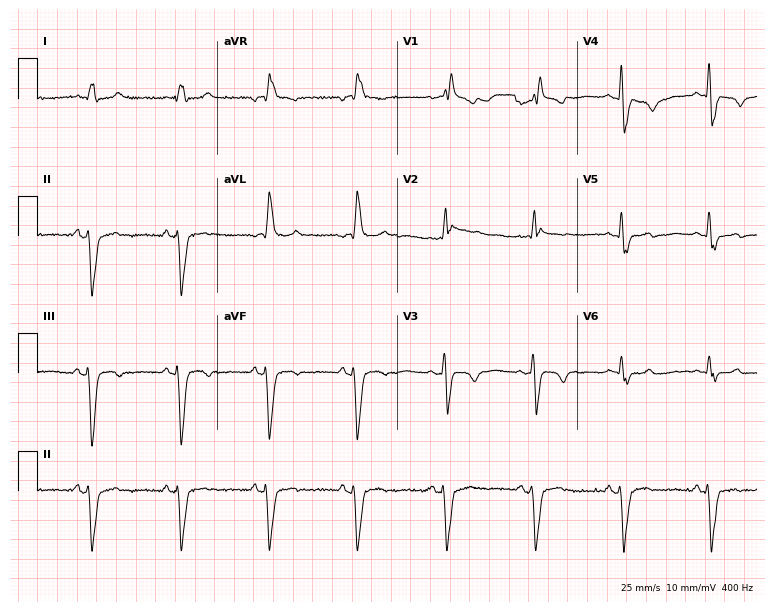
Electrocardiogram, a male patient, 73 years old. Interpretation includes right bundle branch block.